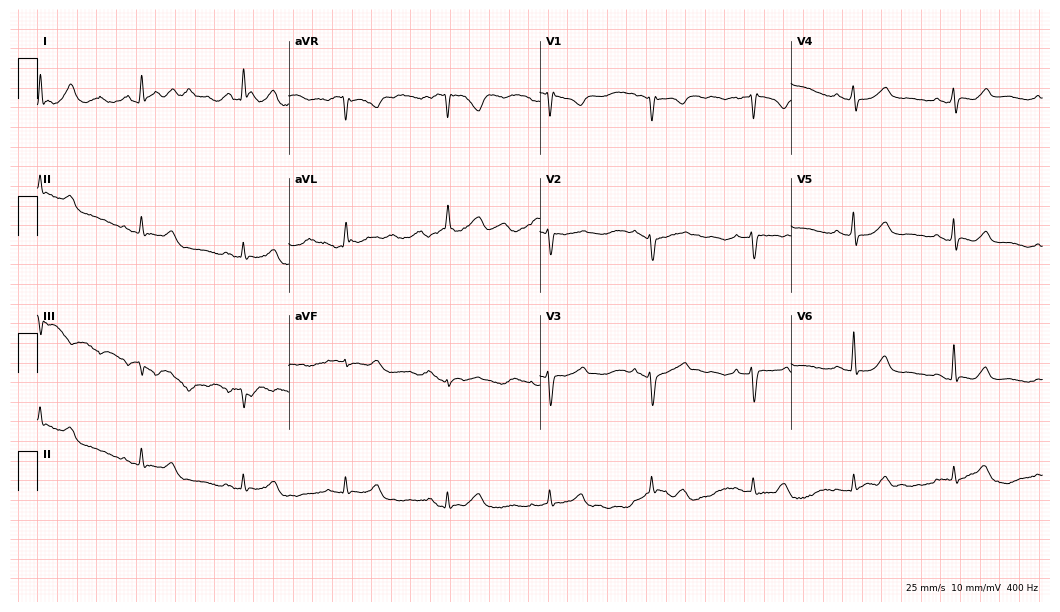
Electrocardiogram (10.2-second recording at 400 Hz), a man aged 90 or older. Overall reading on record: normal ECG.